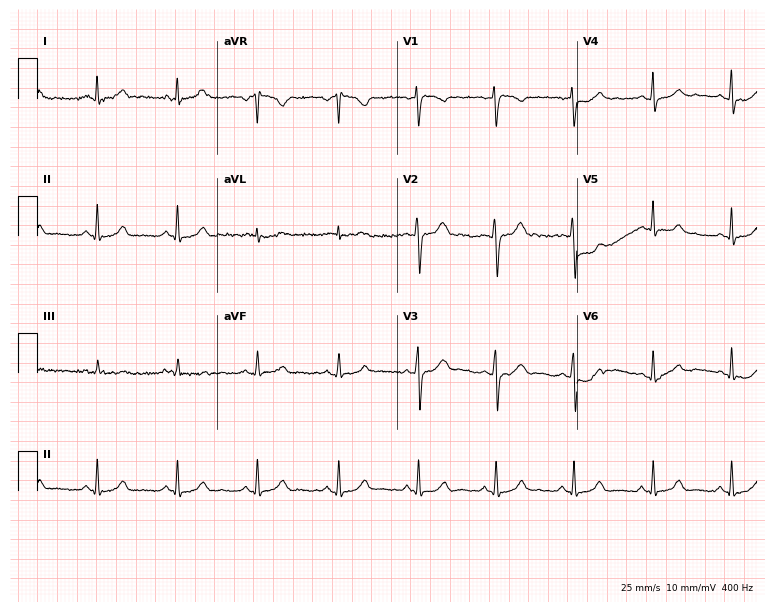
ECG (7.3-second recording at 400 Hz) — a female, 42 years old. Labelled as a normal ECG.